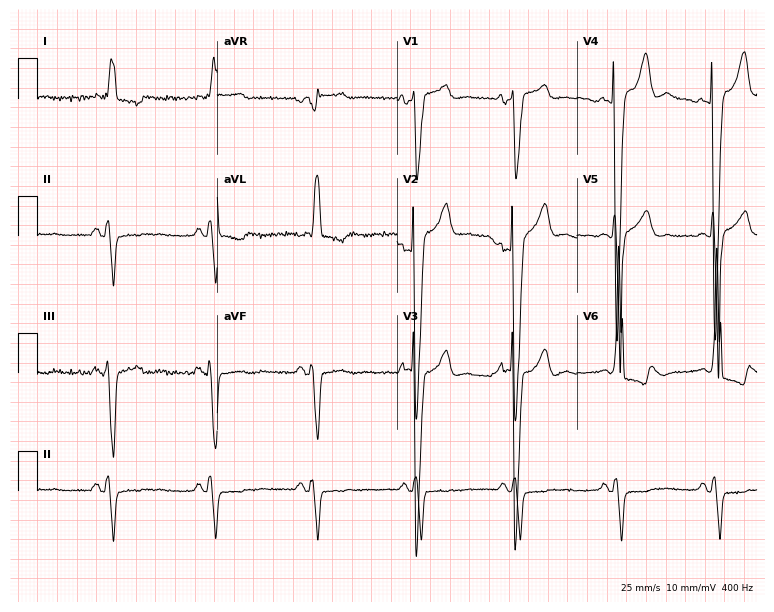
12-lead ECG from a male patient, 79 years old (7.3-second recording at 400 Hz). Shows left bundle branch block.